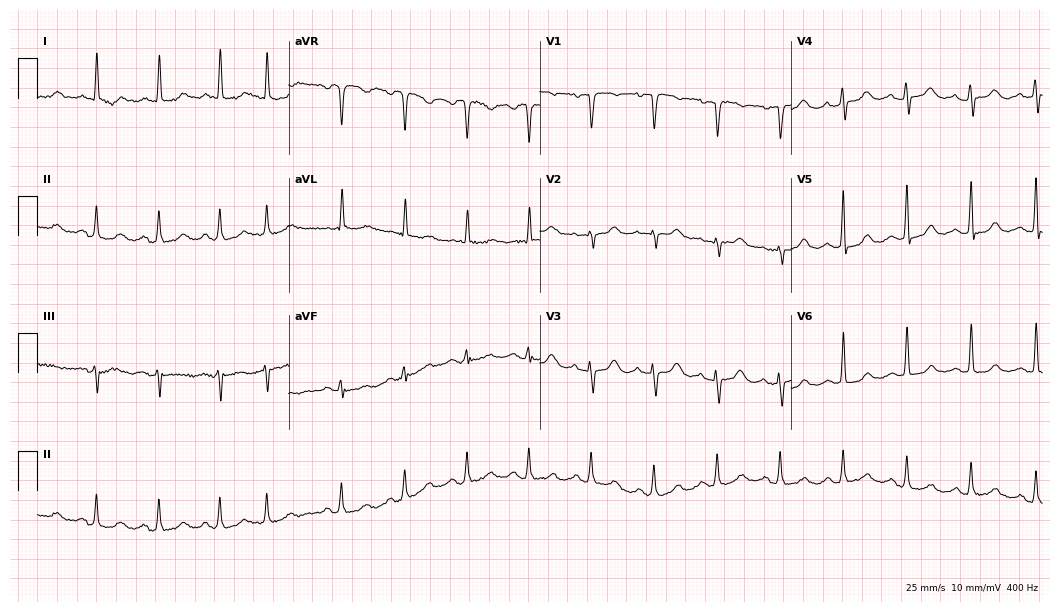
12-lead ECG from a 78-year-old female (10.2-second recording at 400 Hz). Recorded interpretation: within normal limits.